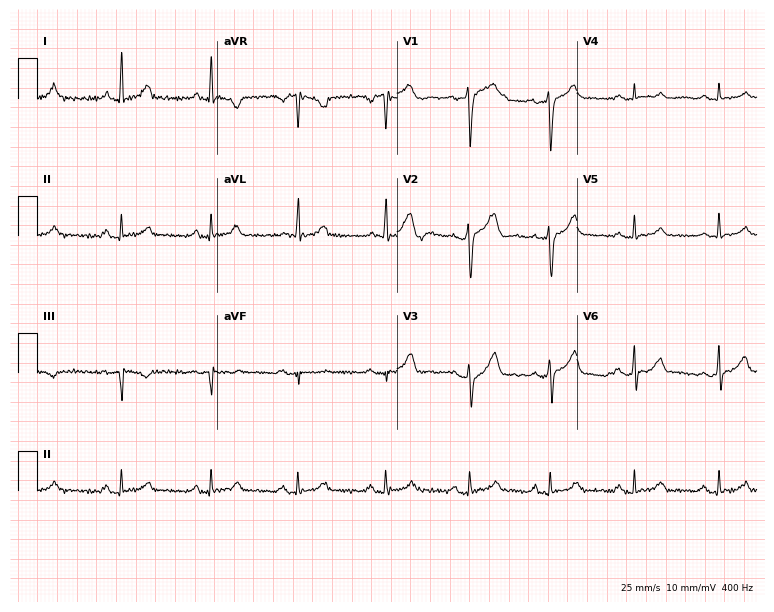
ECG — a man, 50 years old. Screened for six findings — first-degree AV block, right bundle branch block (RBBB), left bundle branch block (LBBB), sinus bradycardia, atrial fibrillation (AF), sinus tachycardia — none is recorded.